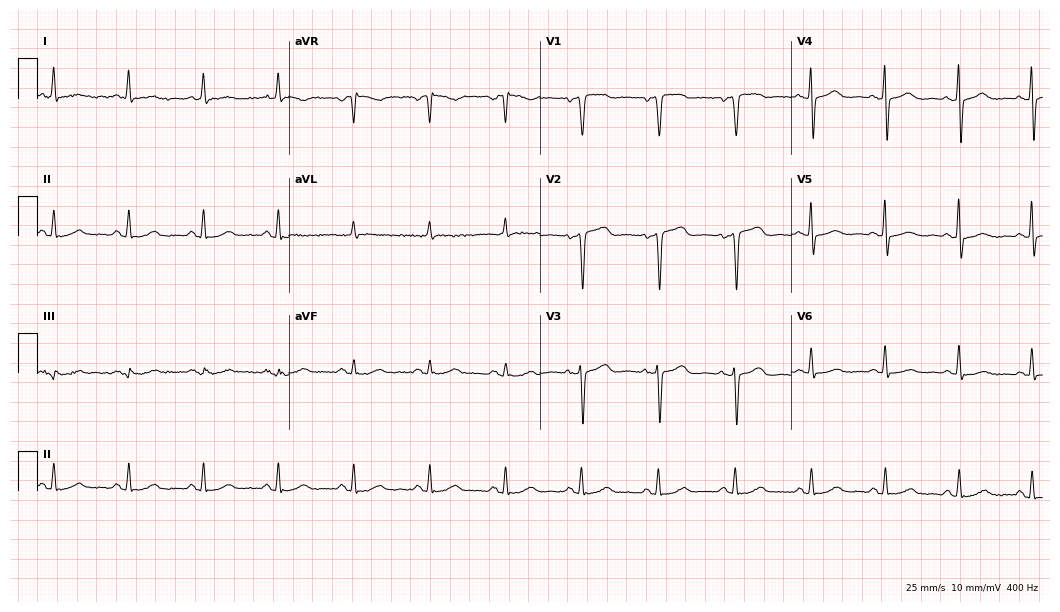
12-lead ECG from a 63-year-old male. Screened for six findings — first-degree AV block, right bundle branch block, left bundle branch block, sinus bradycardia, atrial fibrillation, sinus tachycardia — none is recorded. Other findings, if any, are not listed.